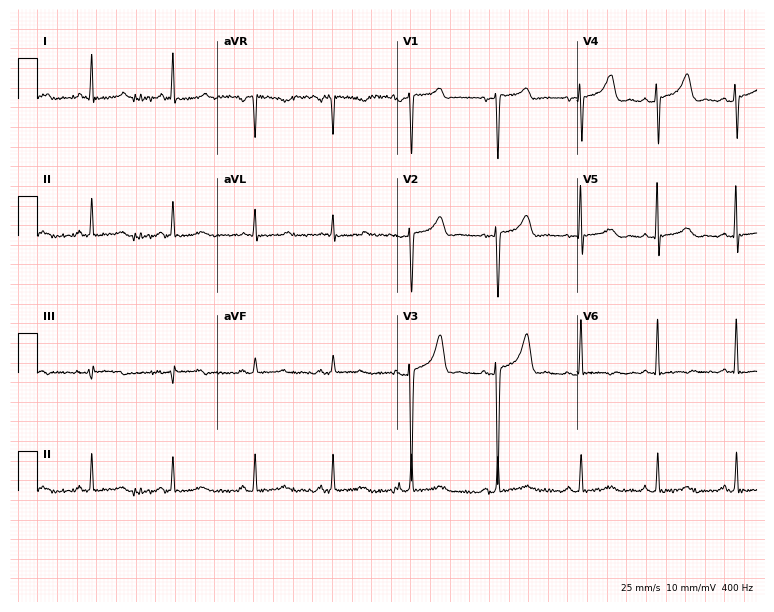
12-lead ECG from a female patient, 45 years old. Screened for six findings — first-degree AV block, right bundle branch block (RBBB), left bundle branch block (LBBB), sinus bradycardia, atrial fibrillation (AF), sinus tachycardia — none is recorded.